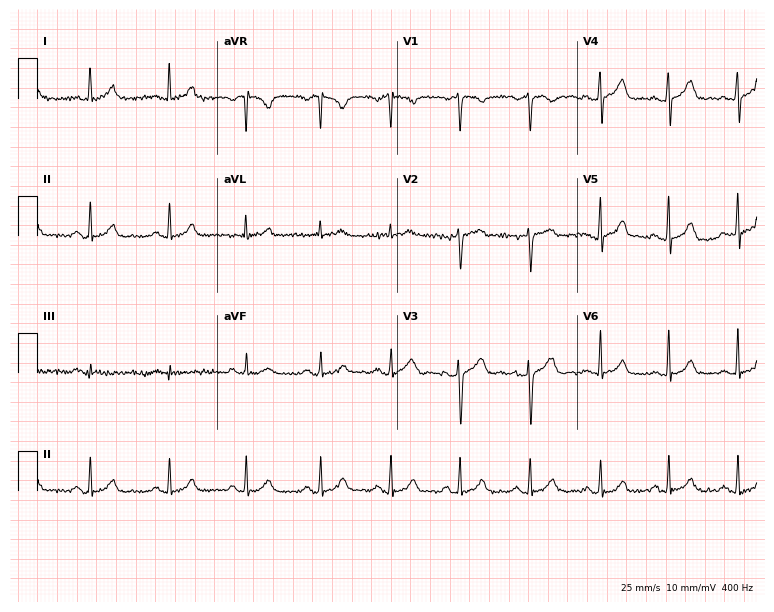
12-lead ECG from a female patient, 39 years old. Recorded interpretation: within normal limits.